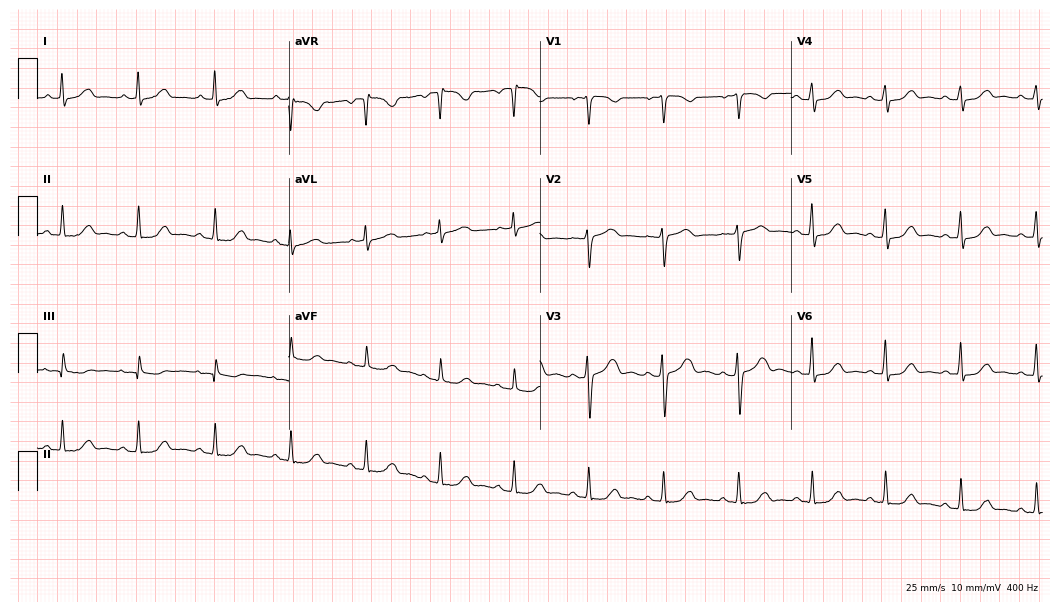
12-lead ECG from a 62-year-old female patient. Labelled as a normal ECG.